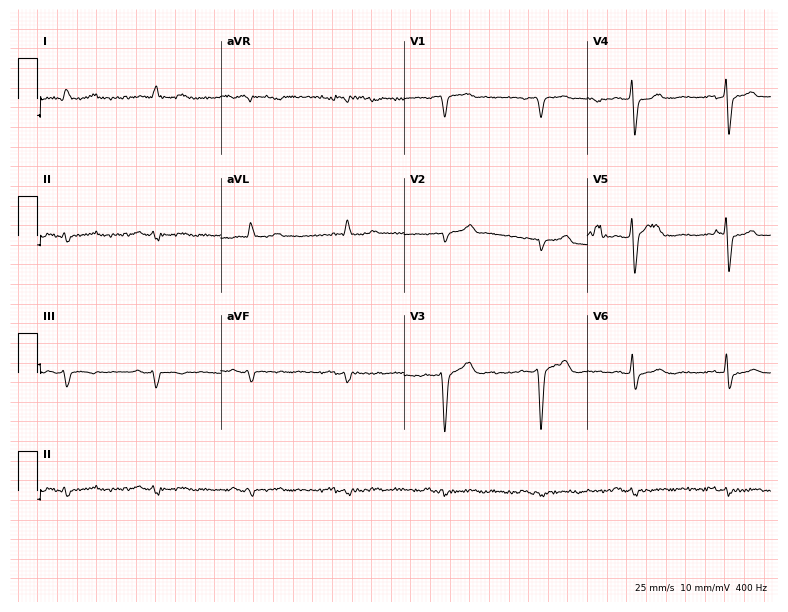
ECG (7.5-second recording at 400 Hz) — a male patient, 70 years old. Screened for six findings — first-degree AV block, right bundle branch block, left bundle branch block, sinus bradycardia, atrial fibrillation, sinus tachycardia — none is recorded.